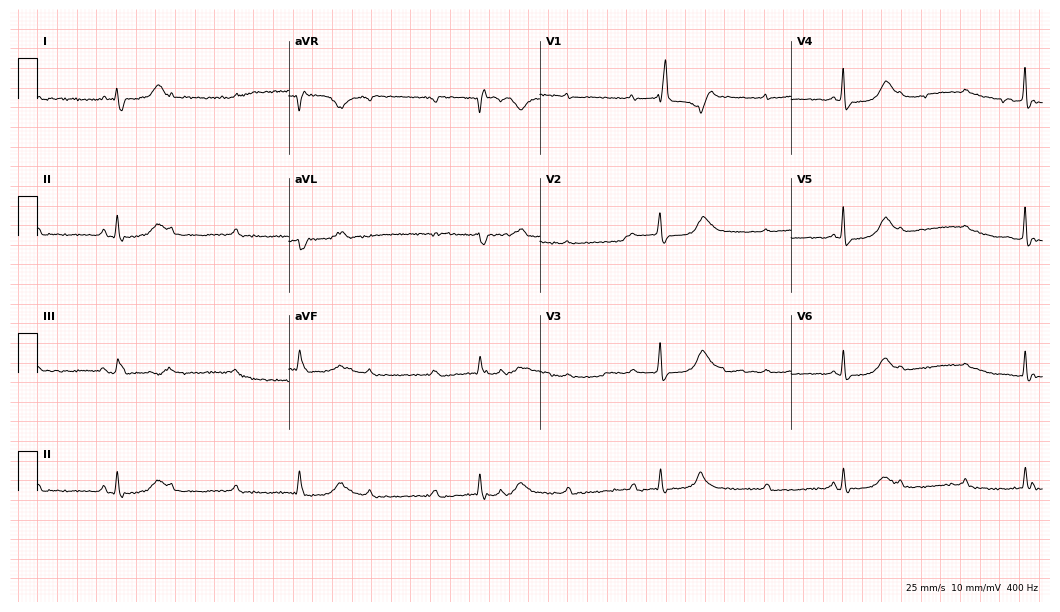
Electrocardiogram (10.2-second recording at 400 Hz), a man, 84 years old. Of the six screened findings (first-degree AV block, right bundle branch block, left bundle branch block, sinus bradycardia, atrial fibrillation, sinus tachycardia), none is recorded.